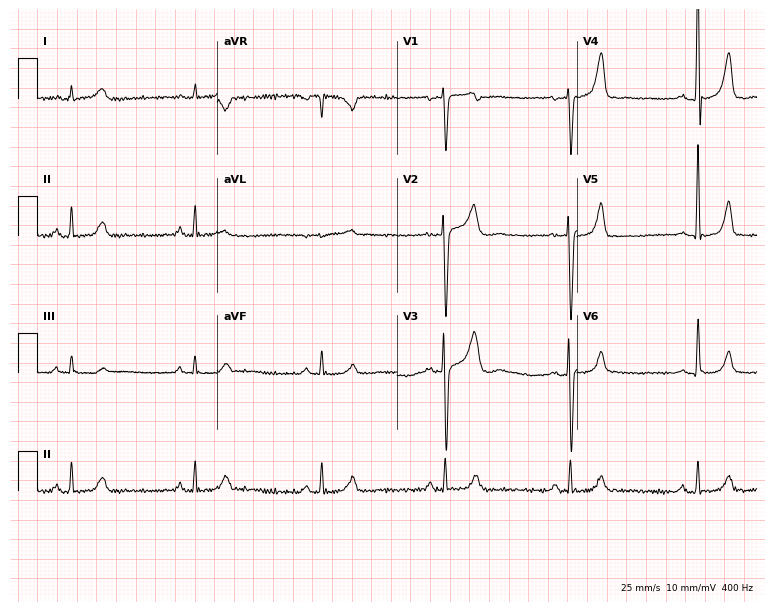
ECG (7.3-second recording at 400 Hz) — a 52-year-old male. Screened for six findings — first-degree AV block, right bundle branch block (RBBB), left bundle branch block (LBBB), sinus bradycardia, atrial fibrillation (AF), sinus tachycardia — none is recorded.